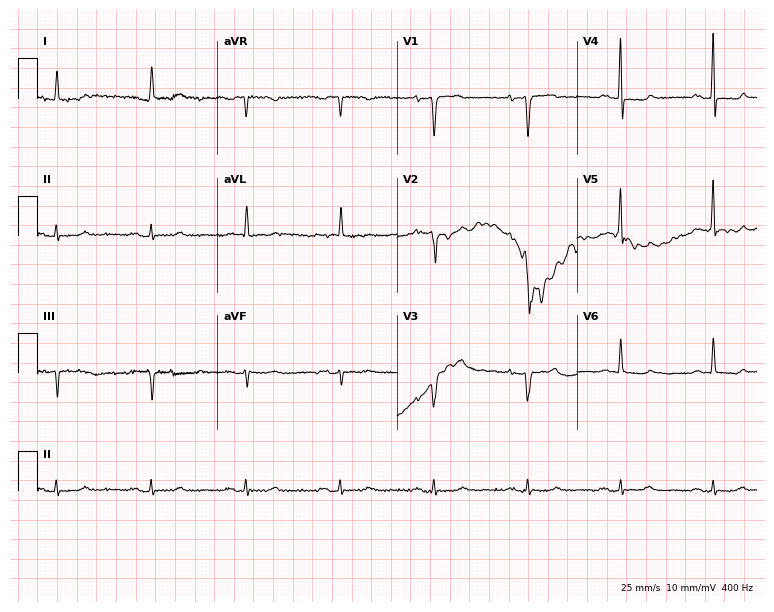
12-lead ECG from a 43-year-old male (7.3-second recording at 400 Hz). No first-degree AV block, right bundle branch block, left bundle branch block, sinus bradycardia, atrial fibrillation or sinus tachycardia recorded for this tracing.